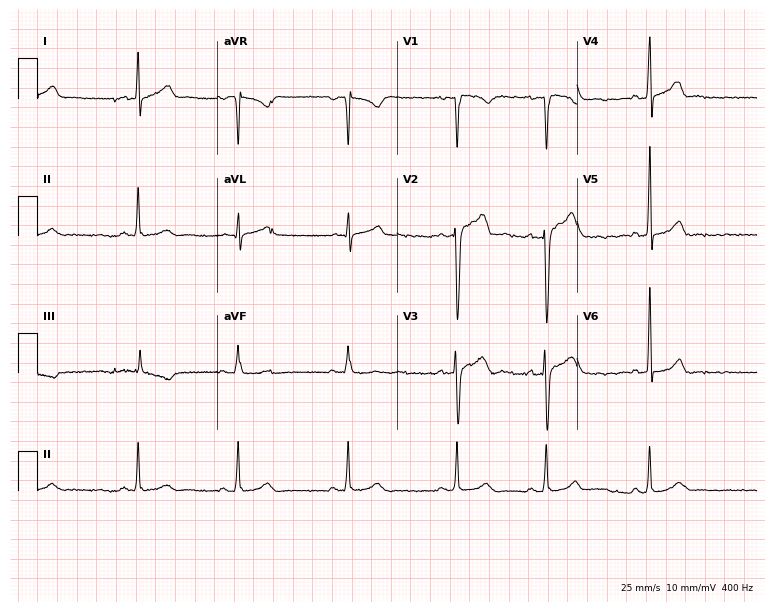
Standard 12-lead ECG recorded from a 29-year-old male patient. Read as a normal ECG.